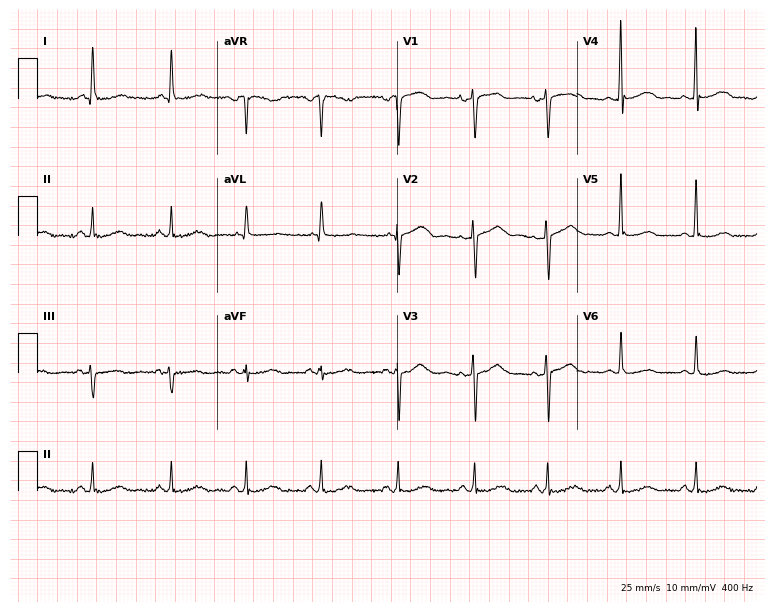
ECG (7.3-second recording at 400 Hz) — a 49-year-old female. Screened for six findings — first-degree AV block, right bundle branch block, left bundle branch block, sinus bradycardia, atrial fibrillation, sinus tachycardia — none is recorded. Only these six findings were labelled.